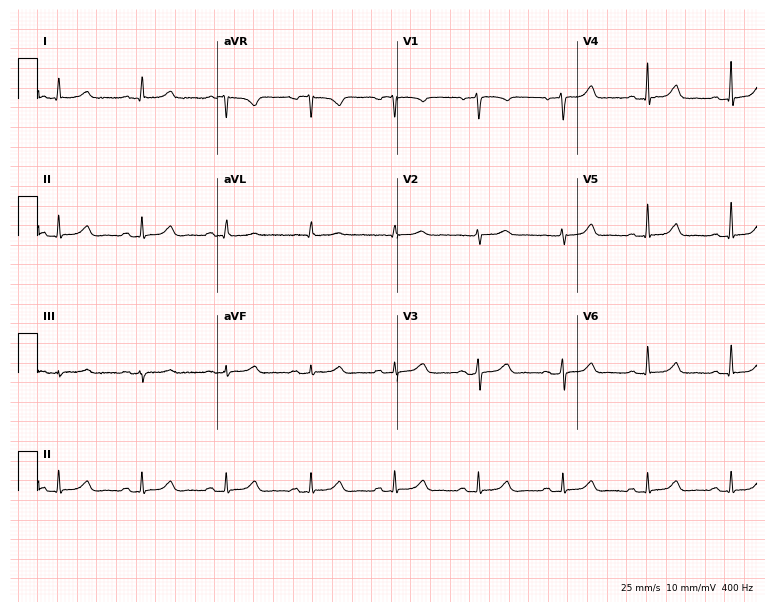
ECG — a 60-year-old female patient. Labelled as a normal ECG.